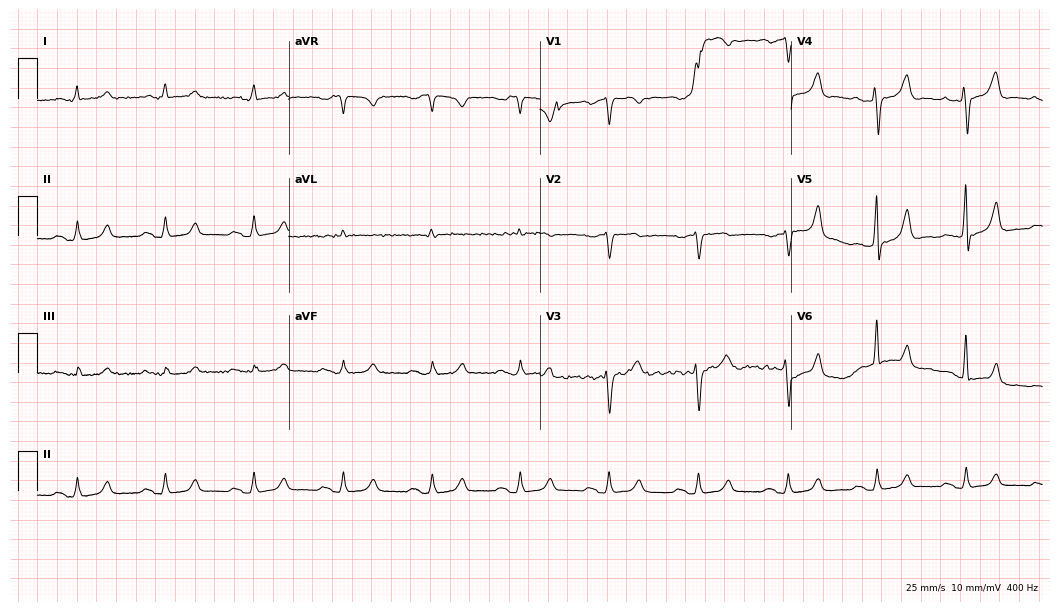
ECG (10.2-second recording at 400 Hz) — a 73-year-old man. Findings include first-degree AV block.